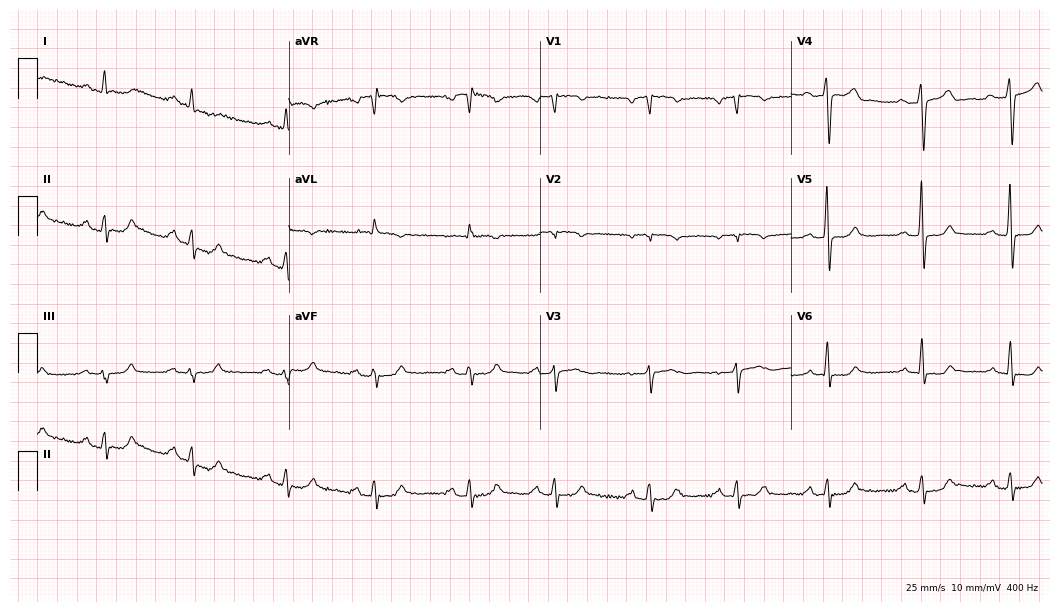
Resting 12-lead electrocardiogram. Patient: a 65-year-old male. Read as a normal ECG.